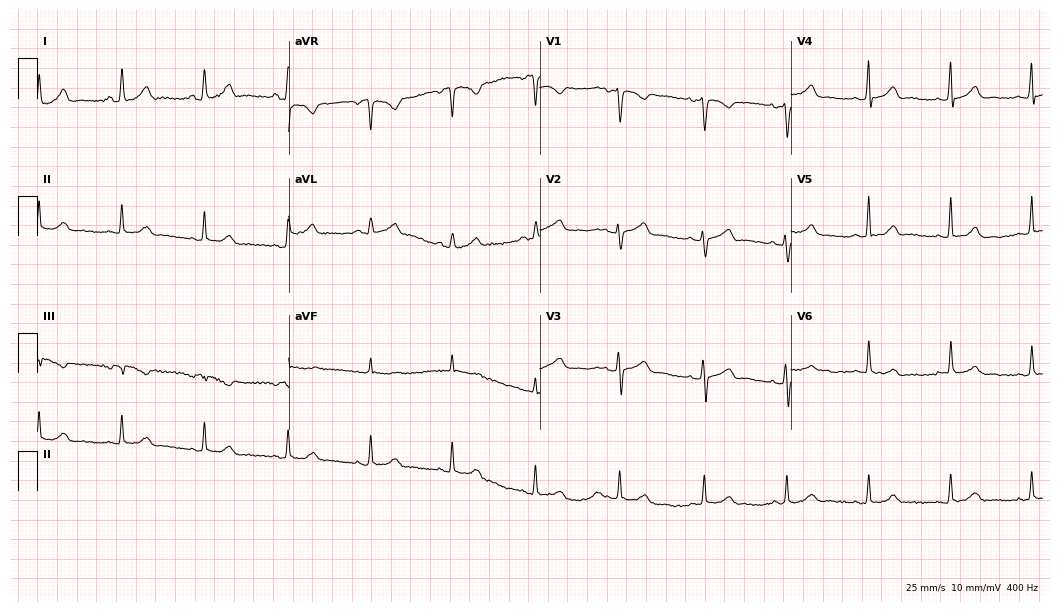
ECG — a woman, 30 years old. Screened for six findings — first-degree AV block, right bundle branch block, left bundle branch block, sinus bradycardia, atrial fibrillation, sinus tachycardia — none is recorded. Only these six findings were labelled.